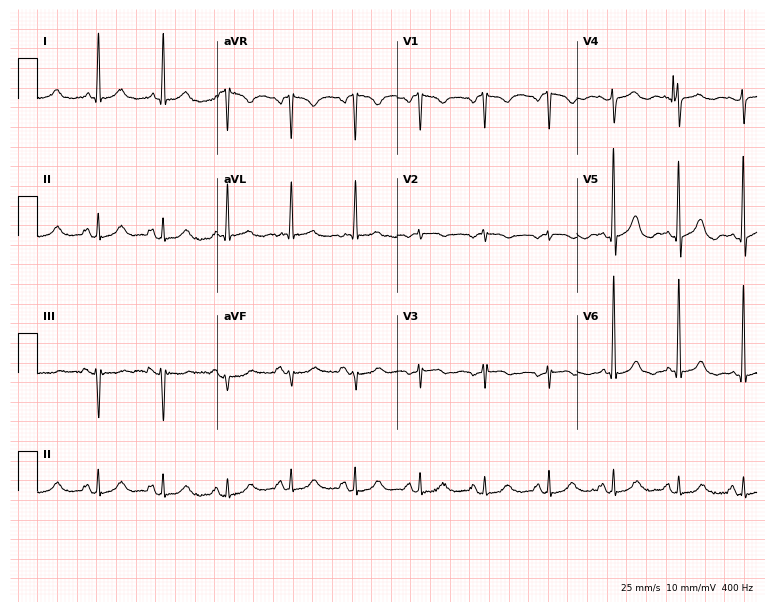
ECG (7.3-second recording at 400 Hz) — a 71-year-old female patient. Screened for six findings — first-degree AV block, right bundle branch block (RBBB), left bundle branch block (LBBB), sinus bradycardia, atrial fibrillation (AF), sinus tachycardia — none is recorded. Findings outside these six are not listed.